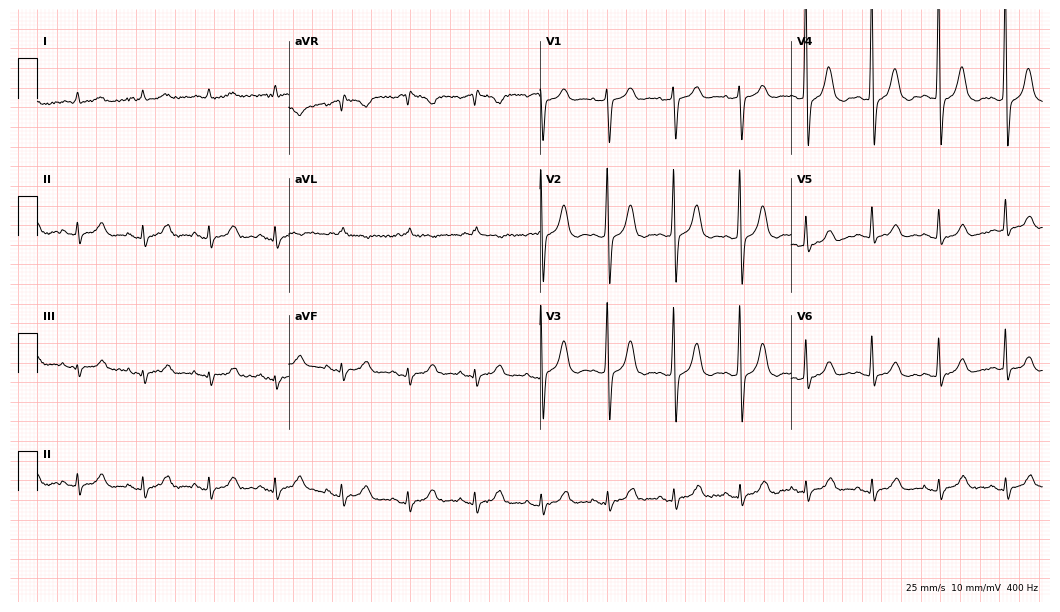
12-lead ECG from a 79-year-old male patient. Screened for six findings — first-degree AV block, right bundle branch block, left bundle branch block, sinus bradycardia, atrial fibrillation, sinus tachycardia — none is recorded.